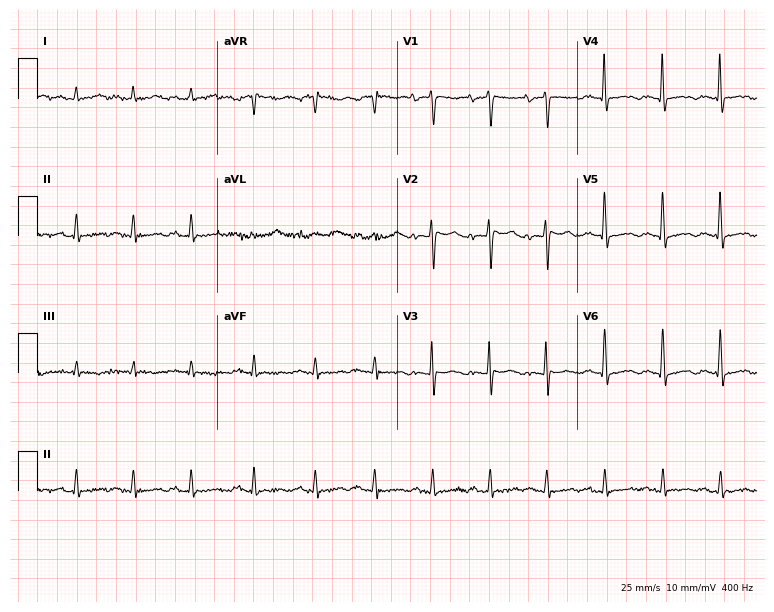
12-lead ECG (7.3-second recording at 400 Hz) from a 77-year-old female. Screened for six findings — first-degree AV block, right bundle branch block, left bundle branch block, sinus bradycardia, atrial fibrillation, sinus tachycardia — none is recorded. Only these six findings were labelled.